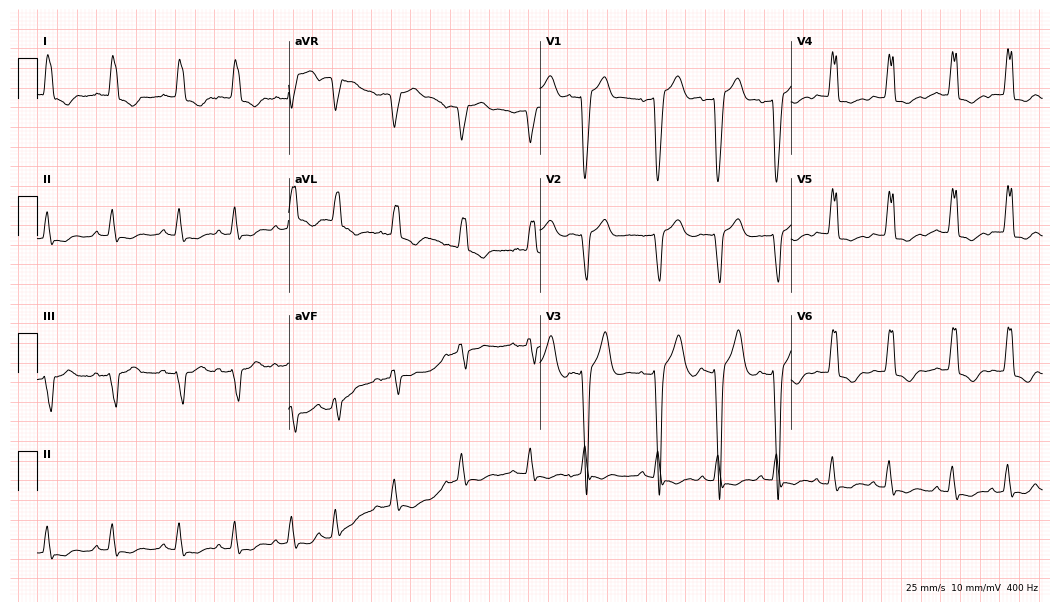
ECG (10.2-second recording at 400 Hz) — an 85-year-old female. Findings include left bundle branch block (LBBB).